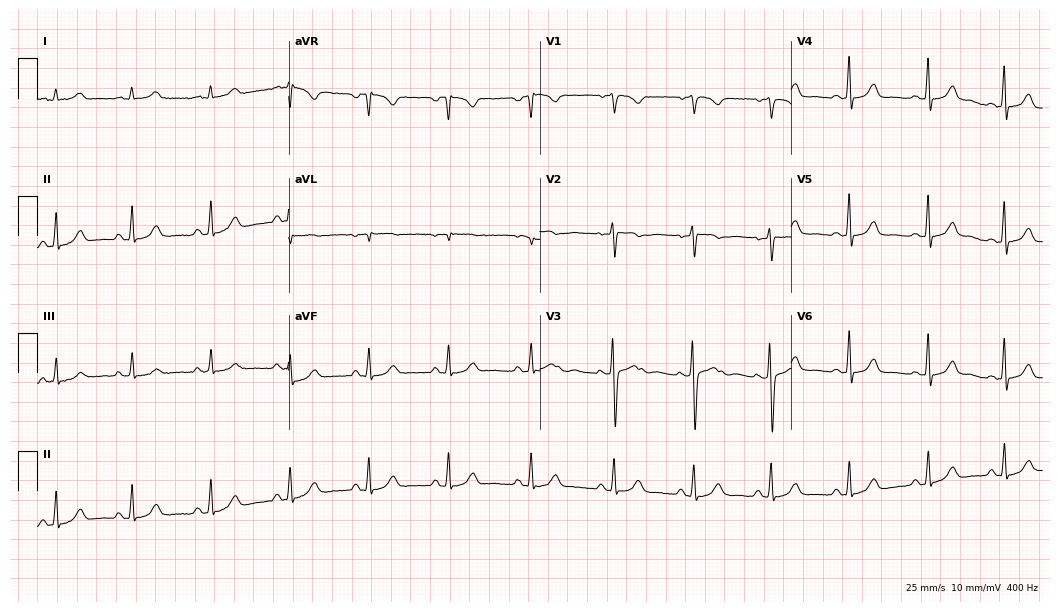
Standard 12-lead ECG recorded from a female, 34 years old (10.2-second recording at 400 Hz). Read as a normal ECG.